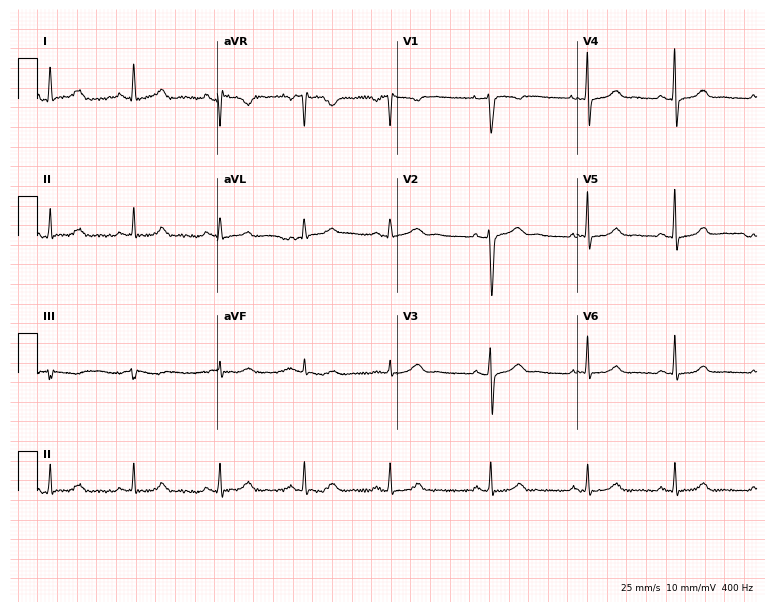
Resting 12-lead electrocardiogram. Patient: a 31-year-old female. Read as a normal ECG.